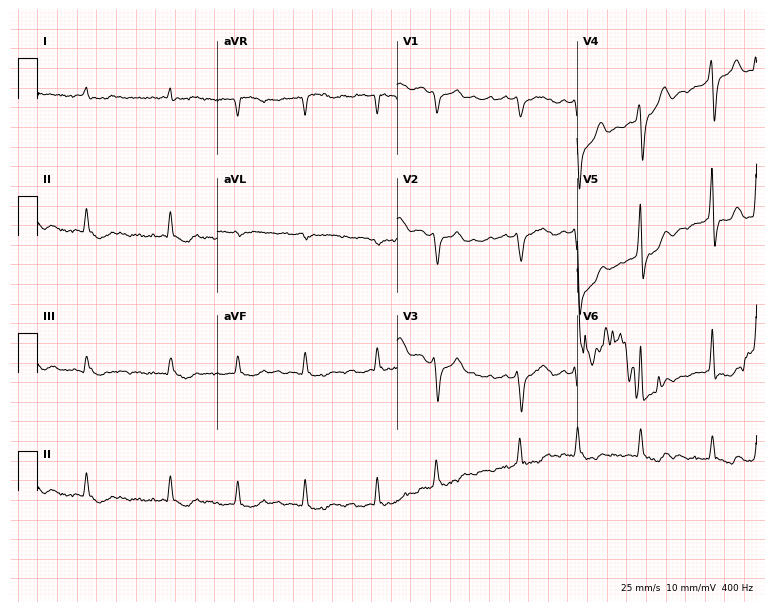
12-lead ECG (7.3-second recording at 400 Hz) from a 77-year-old male. Findings include atrial fibrillation.